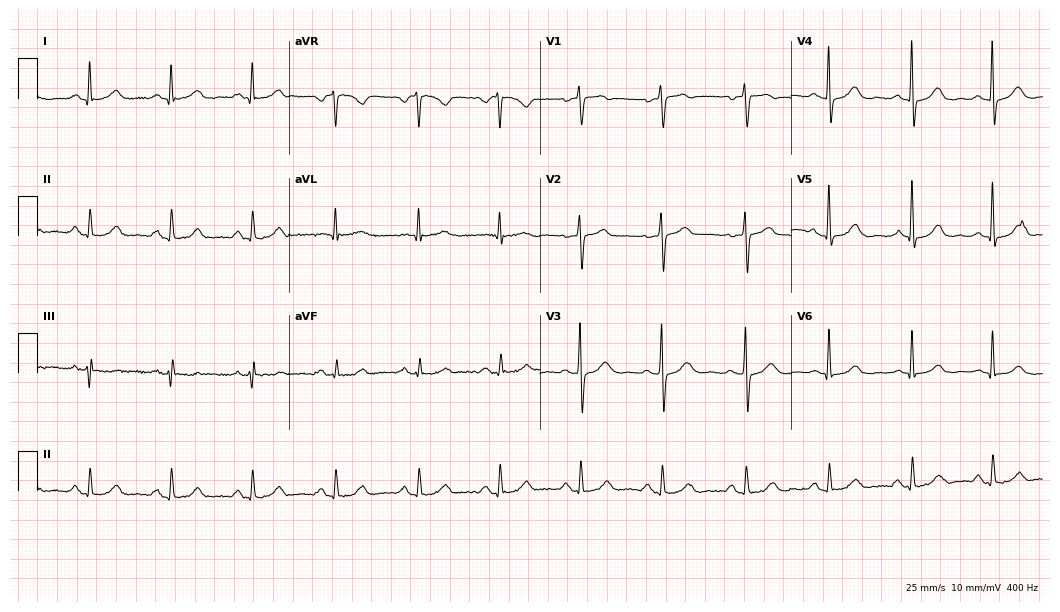
12-lead ECG from a 61-year-old woman. Labelled as a normal ECG.